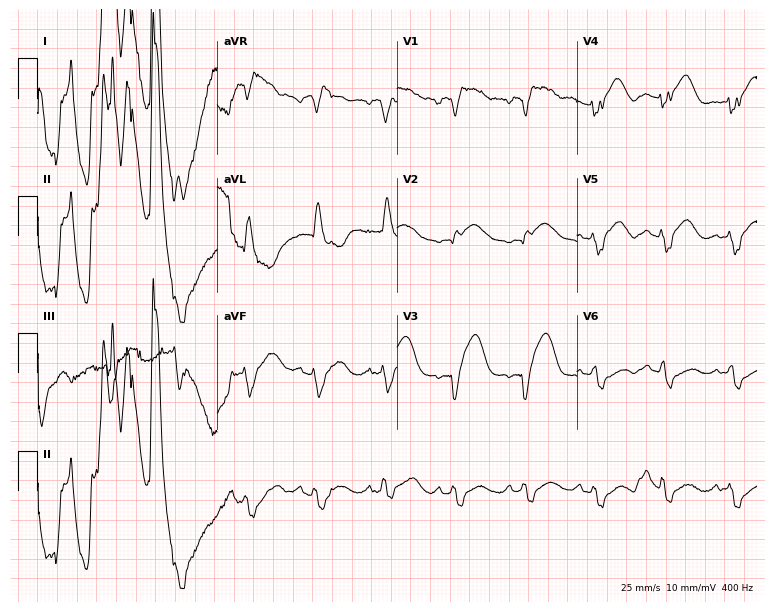
Electrocardiogram, an 80-year-old woman. Of the six screened findings (first-degree AV block, right bundle branch block (RBBB), left bundle branch block (LBBB), sinus bradycardia, atrial fibrillation (AF), sinus tachycardia), none is recorded. Only these six findings were labelled.